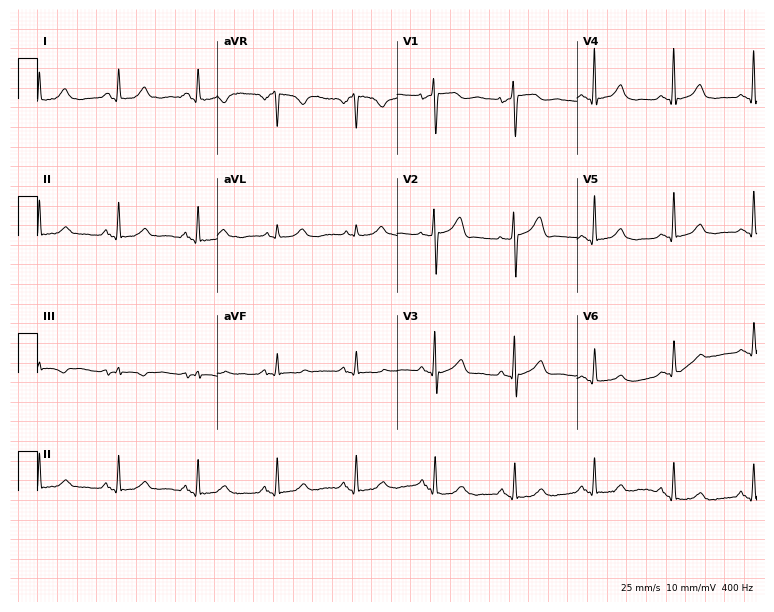
12-lead ECG from an 84-year-old woman. Screened for six findings — first-degree AV block, right bundle branch block, left bundle branch block, sinus bradycardia, atrial fibrillation, sinus tachycardia — none is recorded.